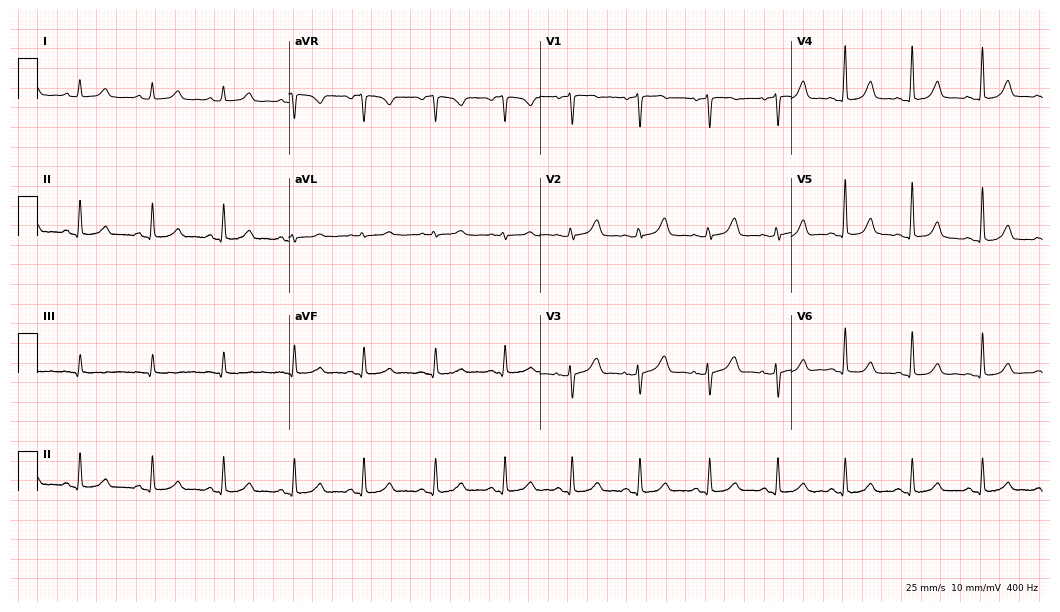
ECG — a female patient, 46 years old. Screened for six findings — first-degree AV block, right bundle branch block, left bundle branch block, sinus bradycardia, atrial fibrillation, sinus tachycardia — none is recorded.